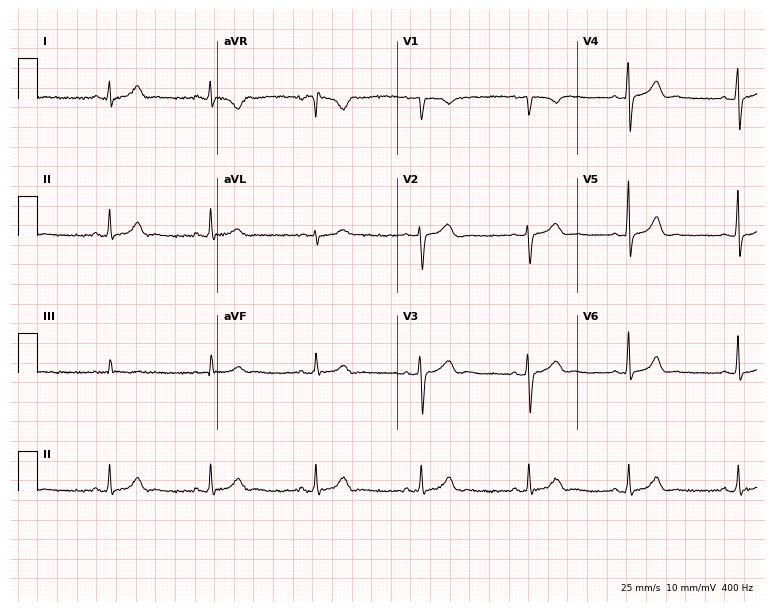
Electrocardiogram, a 36-year-old female patient. Overall reading on record: normal ECG.